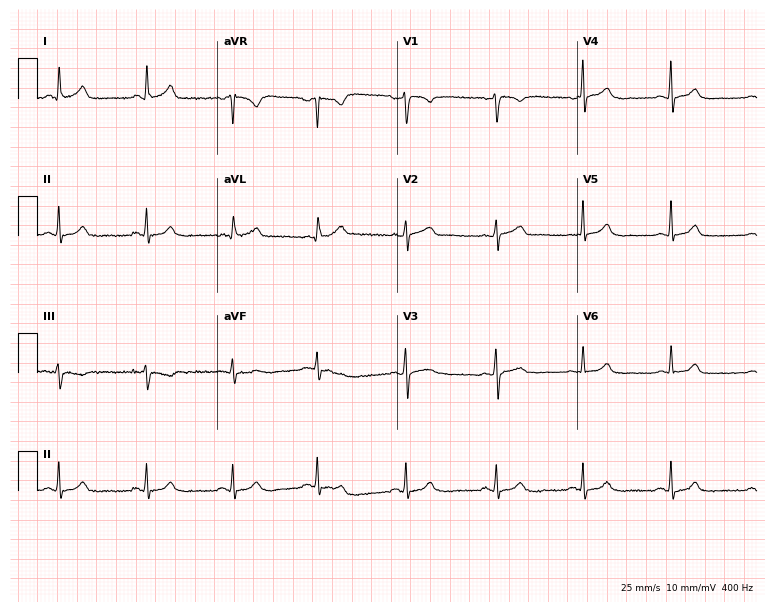
Standard 12-lead ECG recorded from a 44-year-old female (7.3-second recording at 400 Hz). Read as a normal ECG.